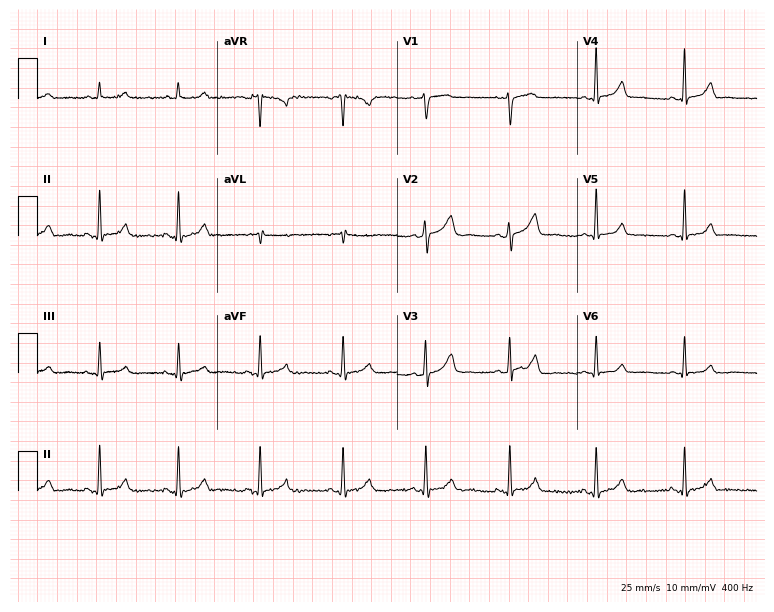
Standard 12-lead ECG recorded from a 42-year-old woman (7.3-second recording at 400 Hz). Read as a normal ECG.